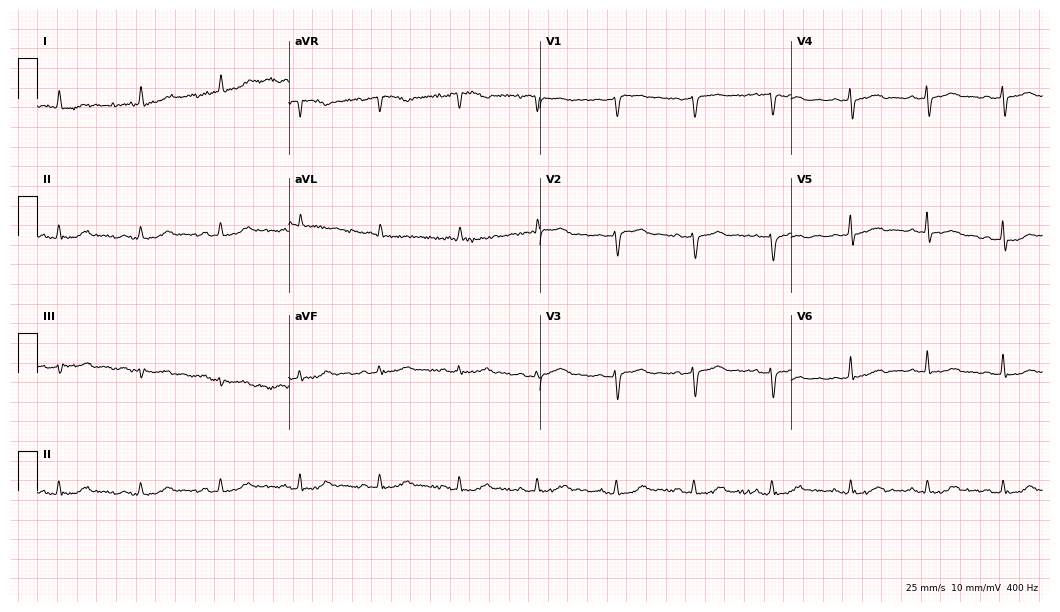
12-lead ECG from a 70-year-old female. No first-degree AV block, right bundle branch block, left bundle branch block, sinus bradycardia, atrial fibrillation or sinus tachycardia recorded for this tracing. Other findings, if any, are not listed.